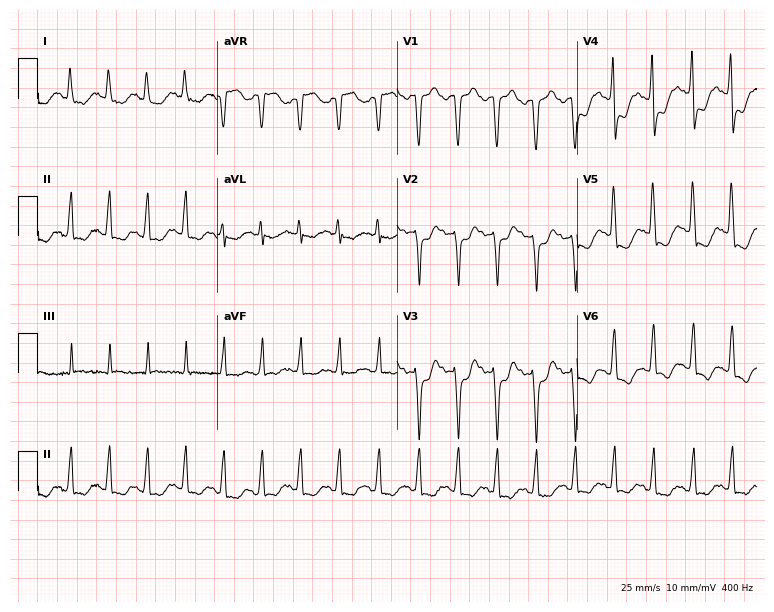
12-lead ECG (7.3-second recording at 400 Hz) from a woman, 61 years old. Screened for six findings — first-degree AV block, right bundle branch block, left bundle branch block, sinus bradycardia, atrial fibrillation, sinus tachycardia — none is recorded.